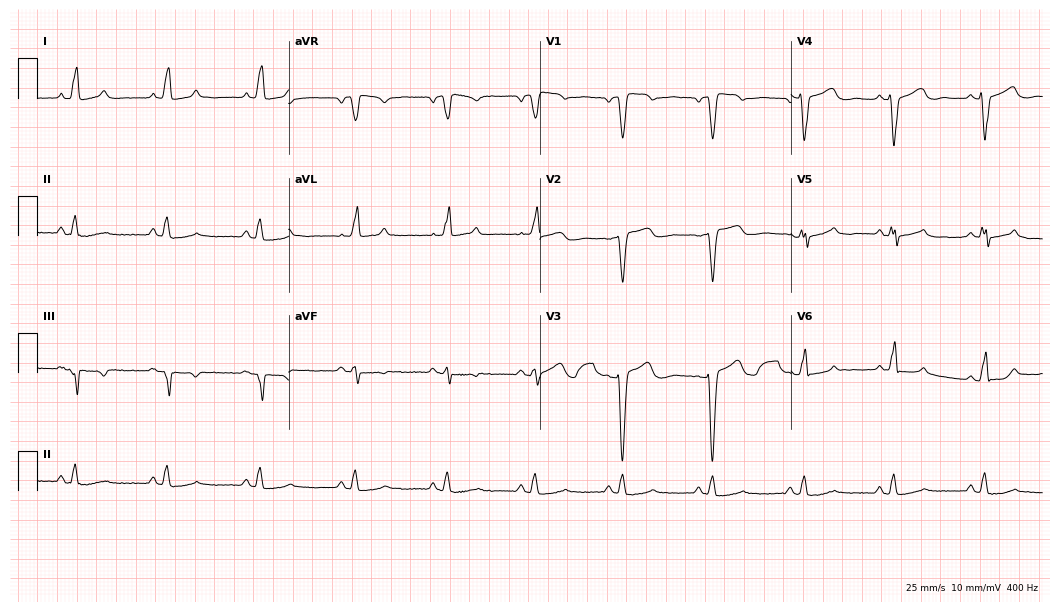
Electrocardiogram, a 48-year-old female patient. Interpretation includes left bundle branch block (LBBB).